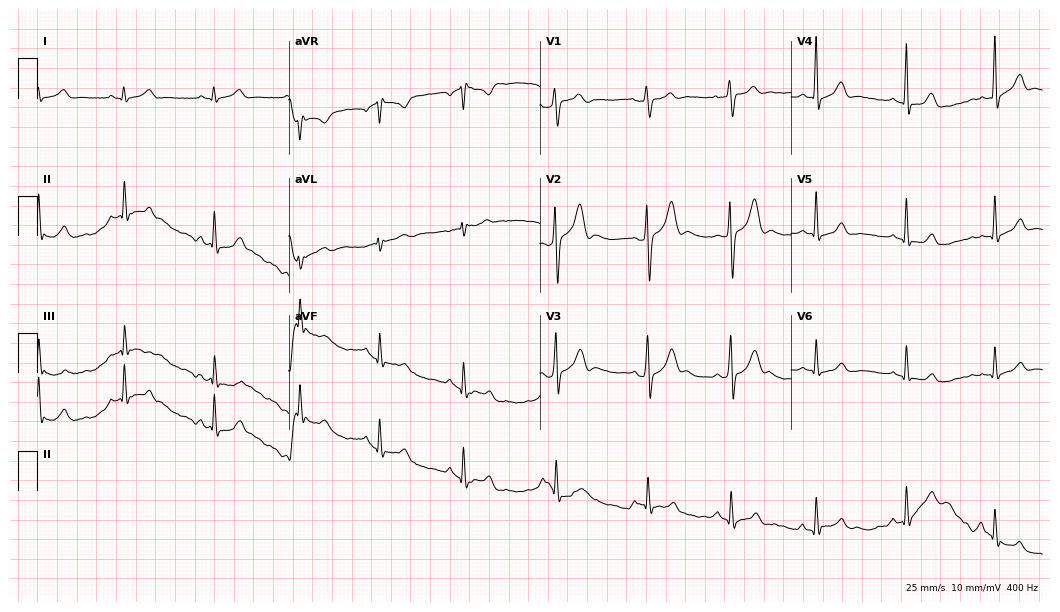
Resting 12-lead electrocardiogram. Patient: a 22-year-old man. Read as a normal ECG.